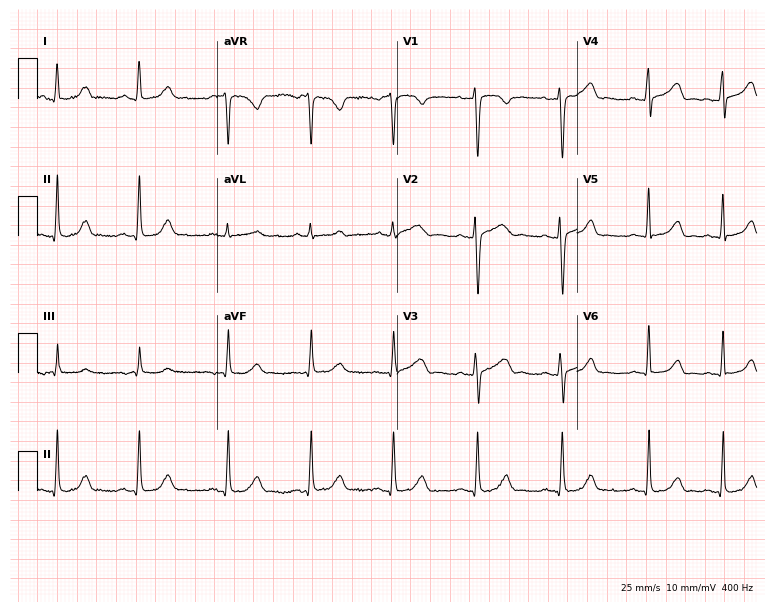
Electrocardiogram (7.3-second recording at 400 Hz), a female patient, 29 years old. Of the six screened findings (first-degree AV block, right bundle branch block (RBBB), left bundle branch block (LBBB), sinus bradycardia, atrial fibrillation (AF), sinus tachycardia), none is recorded.